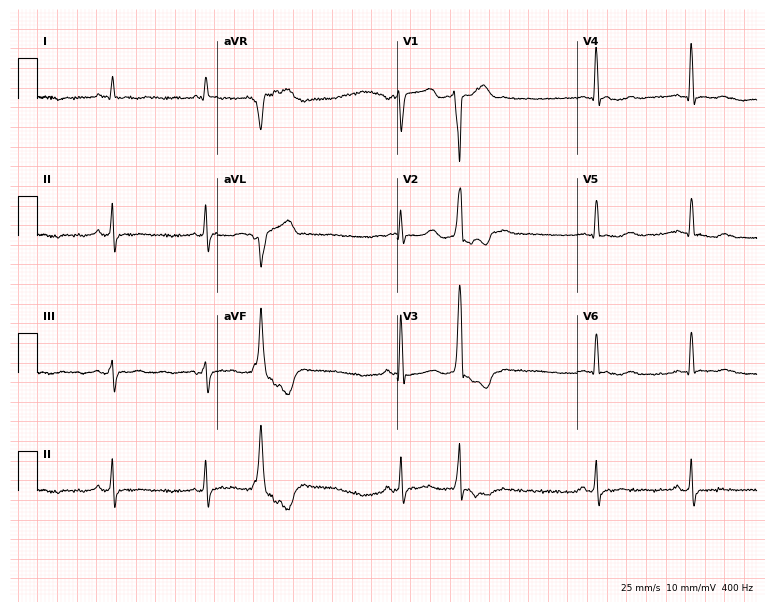
12-lead ECG from a male patient, 72 years old. Screened for six findings — first-degree AV block, right bundle branch block, left bundle branch block, sinus bradycardia, atrial fibrillation, sinus tachycardia — none is recorded. Findings outside these six are not listed.